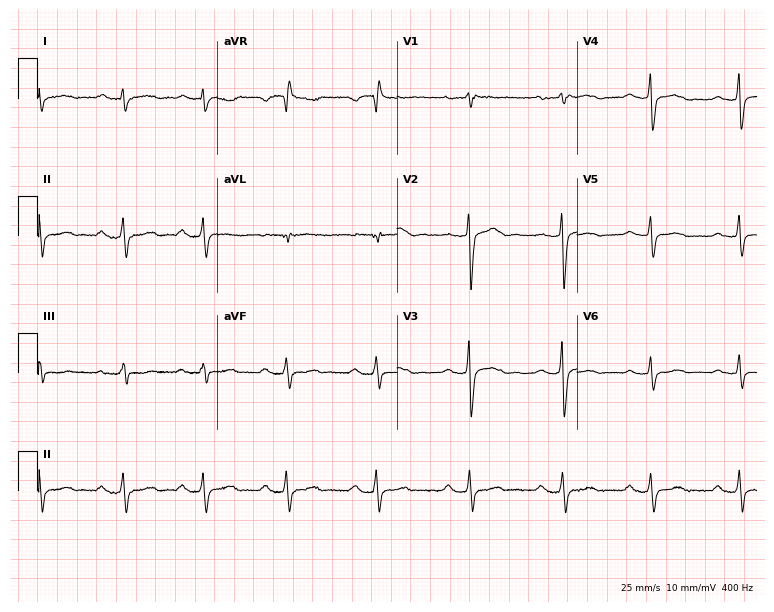
Resting 12-lead electrocardiogram. Patient: a female, 26 years old. None of these six findings is recorded: first-degree AV block, right bundle branch block, left bundle branch block, sinus bradycardia, atrial fibrillation, sinus tachycardia. Only these six findings were labelled.